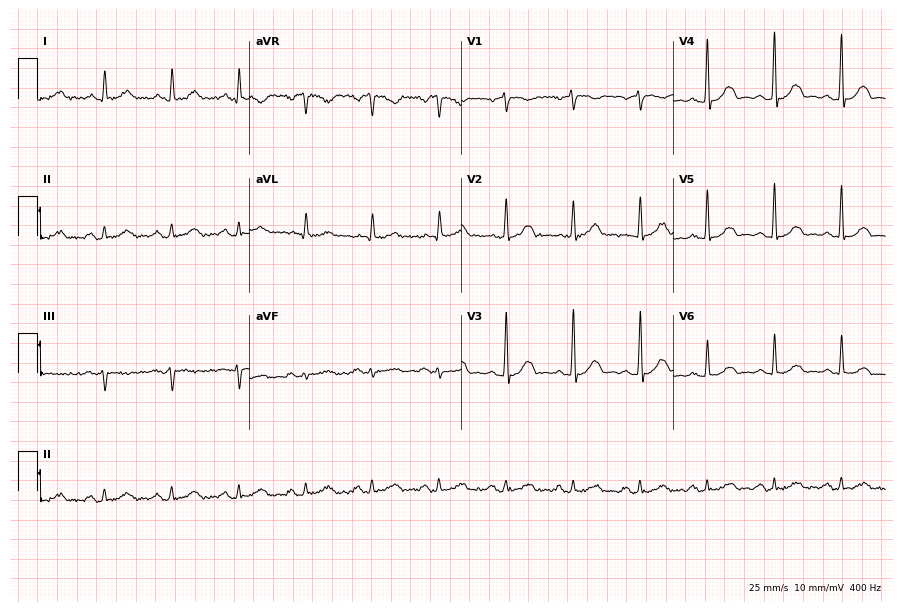
12-lead ECG from a 67-year-old male. Labelled as a normal ECG.